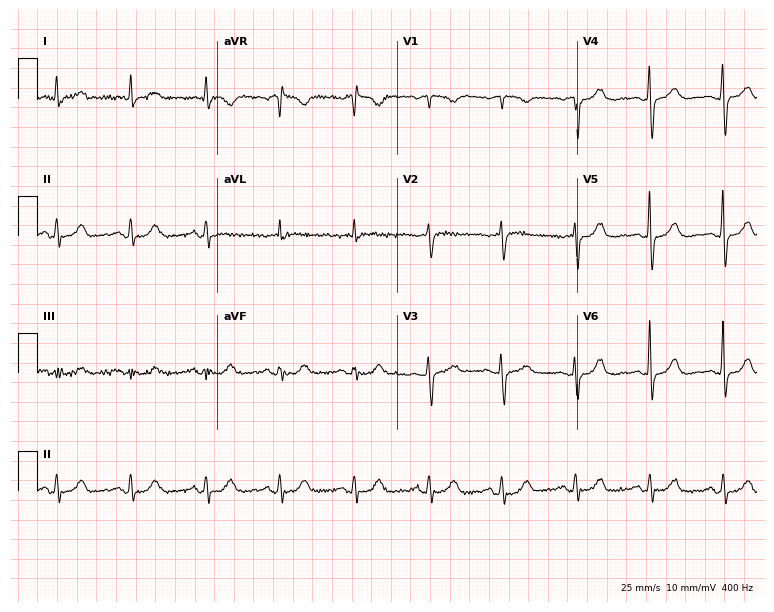
ECG (7.3-second recording at 400 Hz) — a woman, 68 years old. Labelled as a normal ECG.